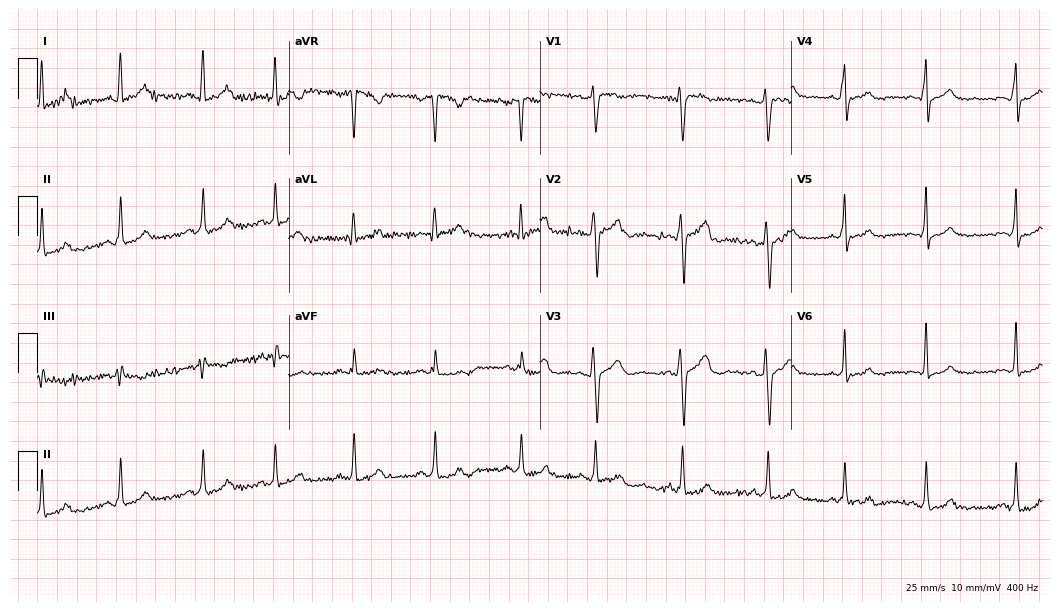
ECG (10.2-second recording at 400 Hz) — a 34-year-old female. Labelled as a normal ECG.